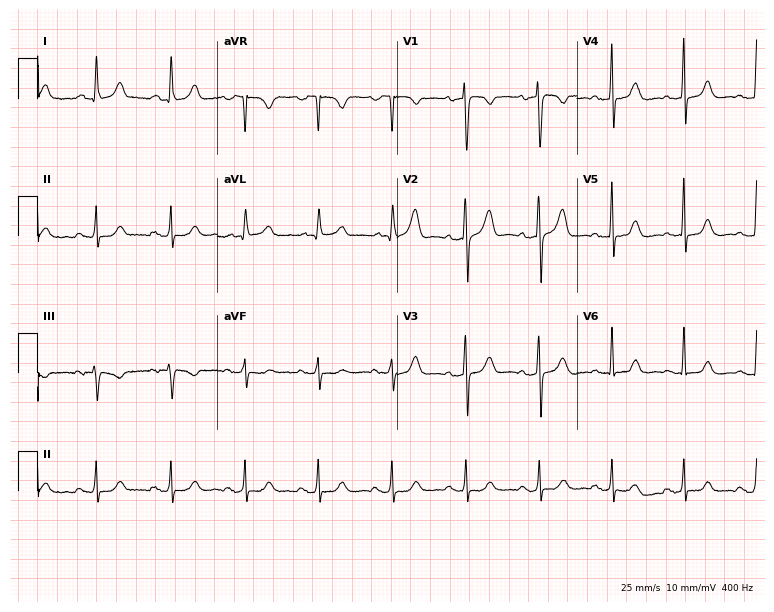
Resting 12-lead electrocardiogram (7.3-second recording at 400 Hz). Patient: a female, 36 years old. None of these six findings is recorded: first-degree AV block, right bundle branch block (RBBB), left bundle branch block (LBBB), sinus bradycardia, atrial fibrillation (AF), sinus tachycardia.